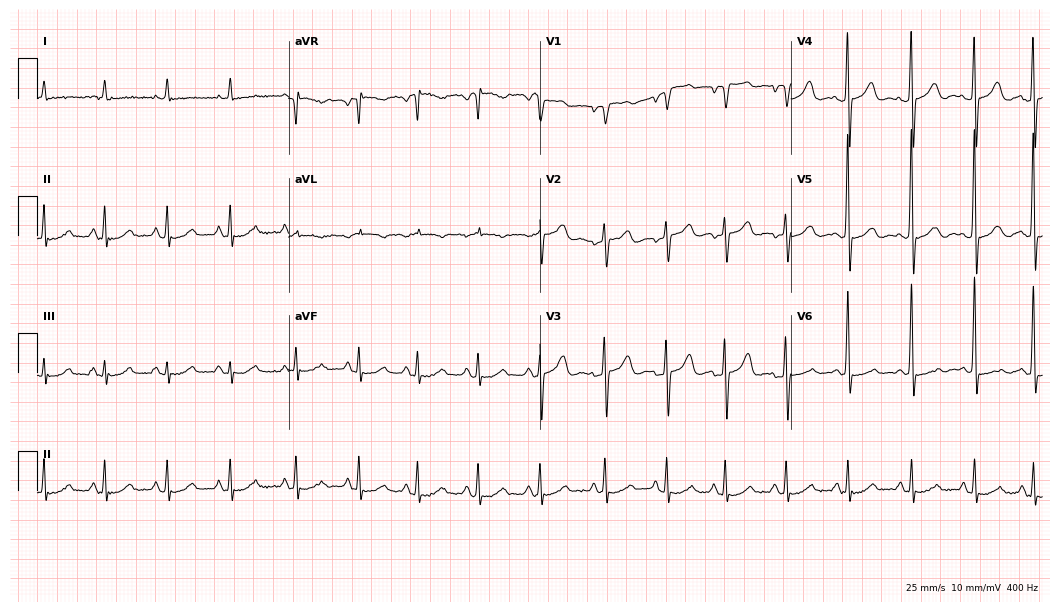
12-lead ECG from a woman, 81 years old. Screened for six findings — first-degree AV block, right bundle branch block (RBBB), left bundle branch block (LBBB), sinus bradycardia, atrial fibrillation (AF), sinus tachycardia — none is recorded. Findings outside these six are not listed.